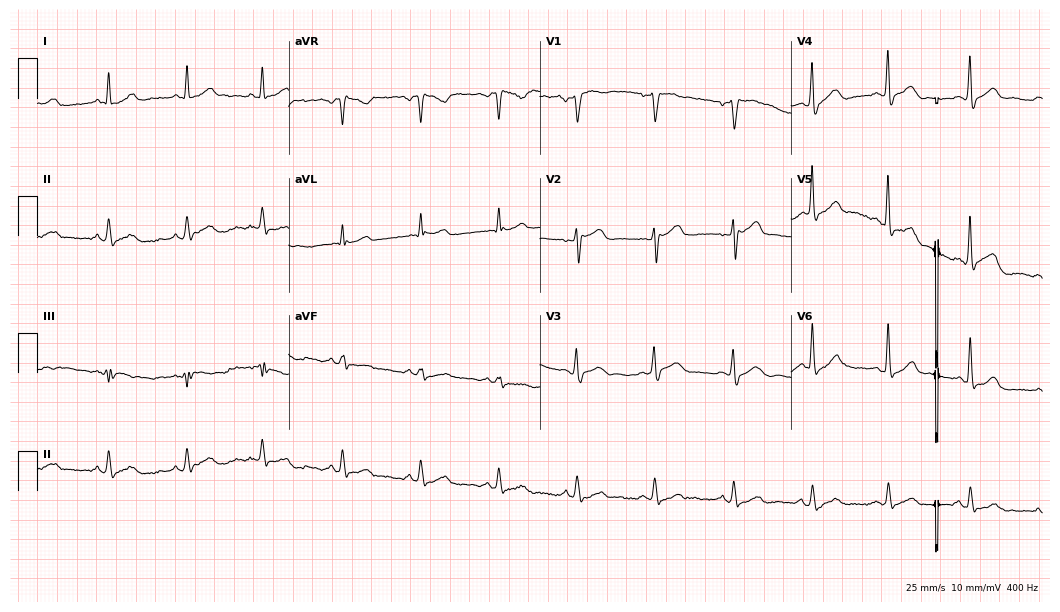
Standard 12-lead ECG recorded from a male patient, 61 years old. None of these six findings is recorded: first-degree AV block, right bundle branch block, left bundle branch block, sinus bradycardia, atrial fibrillation, sinus tachycardia.